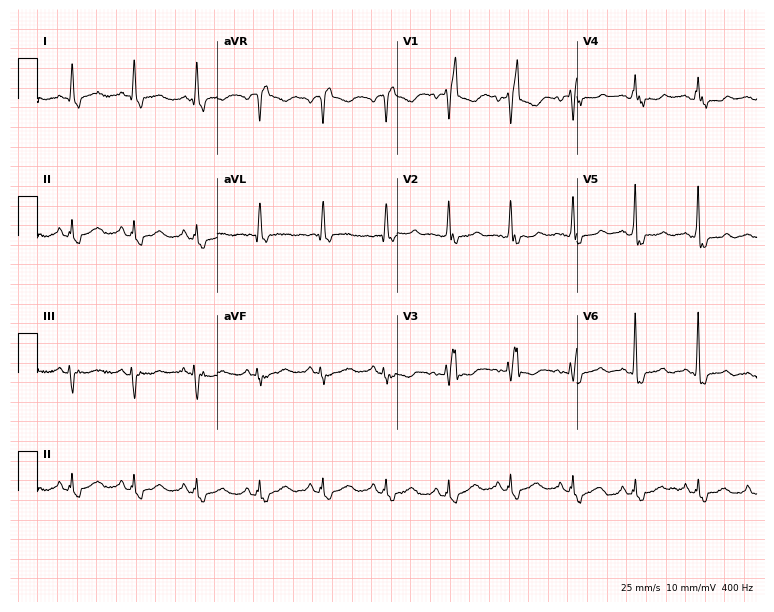
Resting 12-lead electrocardiogram (7.3-second recording at 400 Hz). Patient: a 75-year-old woman. The tracing shows right bundle branch block.